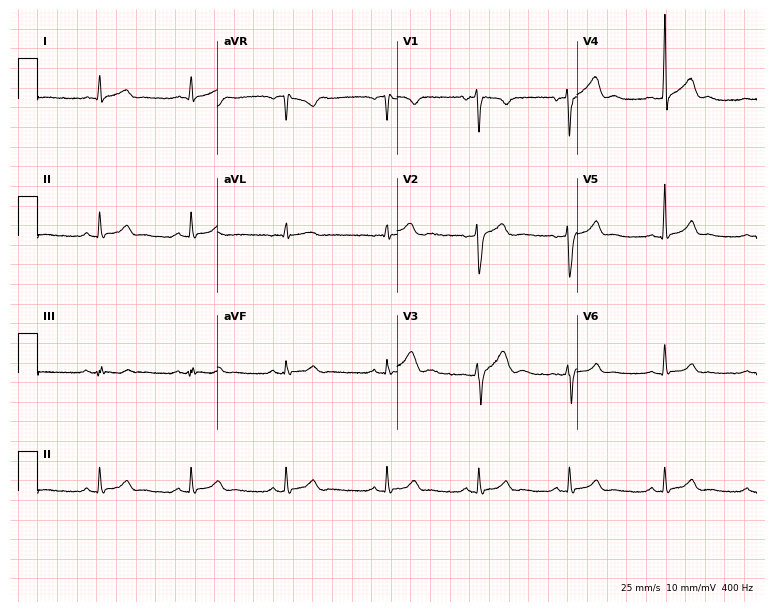
12-lead ECG from a 23-year-old female patient. Labelled as a normal ECG.